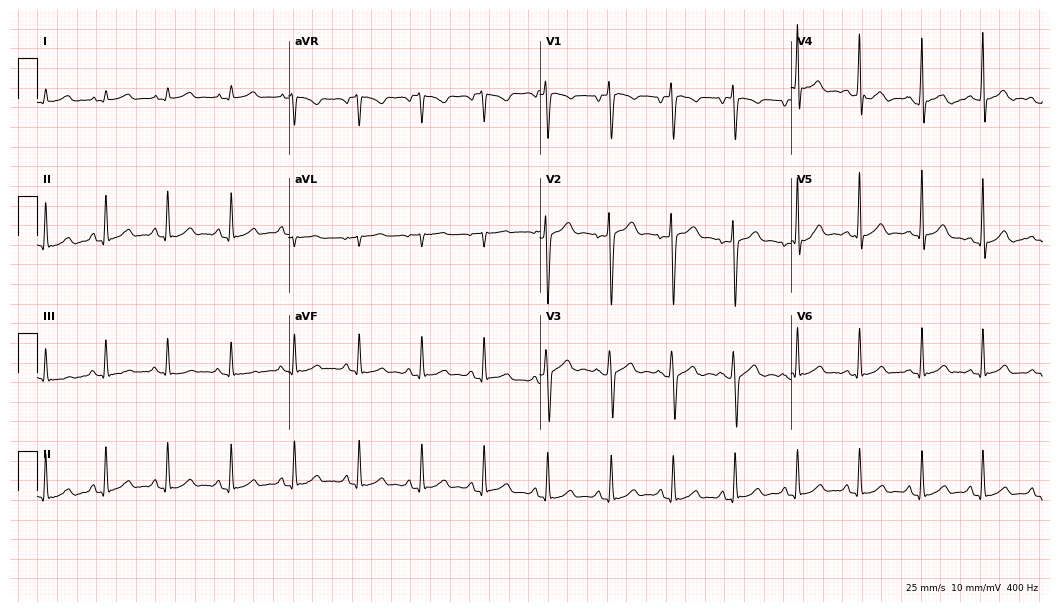
12-lead ECG (10.2-second recording at 400 Hz) from a 20-year-old male. Labelled as a normal ECG.